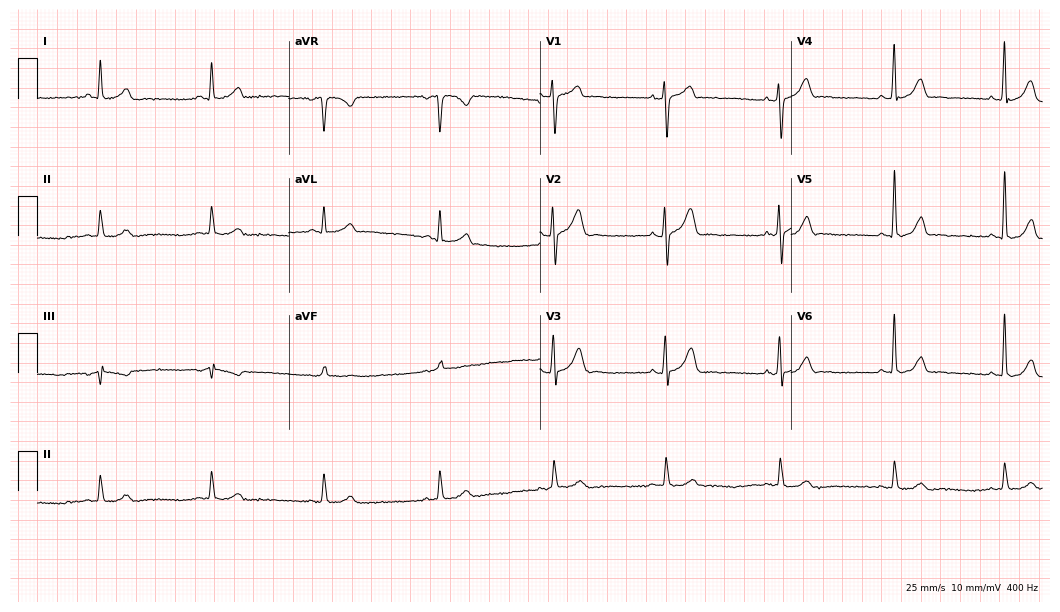
Standard 12-lead ECG recorded from a 43-year-old man (10.2-second recording at 400 Hz). None of these six findings is recorded: first-degree AV block, right bundle branch block, left bundle branch block, sinus bradycardia, atrial fibrillation, sinus tachycardia. Other findings, if any, are not listed.